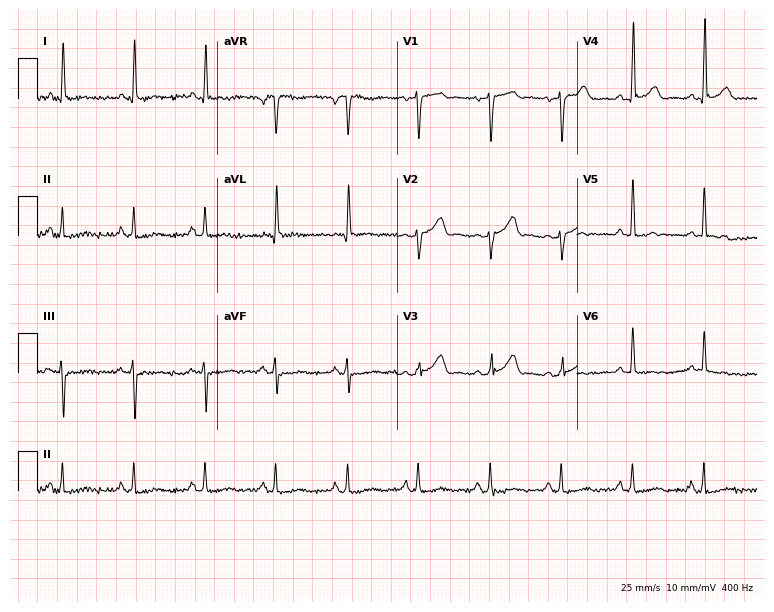
12-lead ECG from a 74-year-old woman. Screened for six findings — first-degree AV block, right bundle branch block, left bundle branch block, sinus bradycardia, atrial fibrillation, sinus tachycardia — none is recorded.